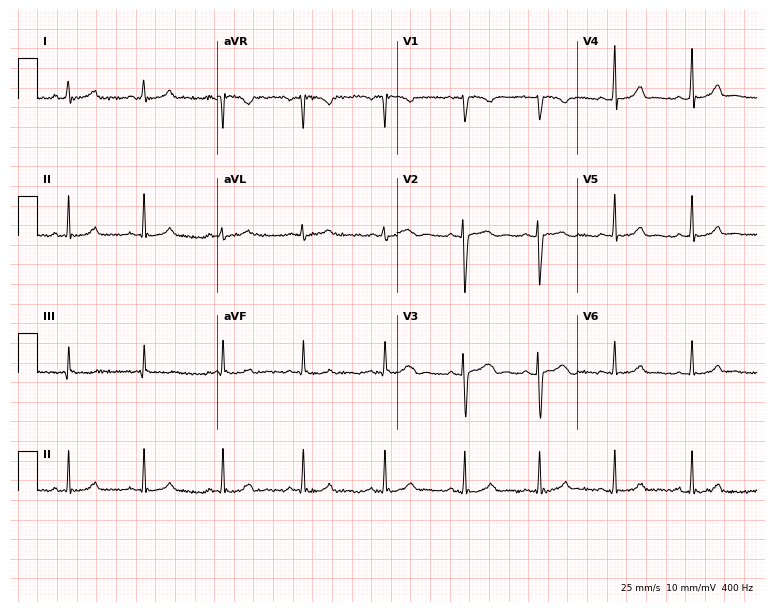
12-lead ECG from a woman, 21 years old (7.3-second recording at 400 Hz). No first-degree AV block, right bundle branch block, left bundle branch block, sinus bradycardia, atrial fibrillation or sinus tachycardia recorded for this tracing.